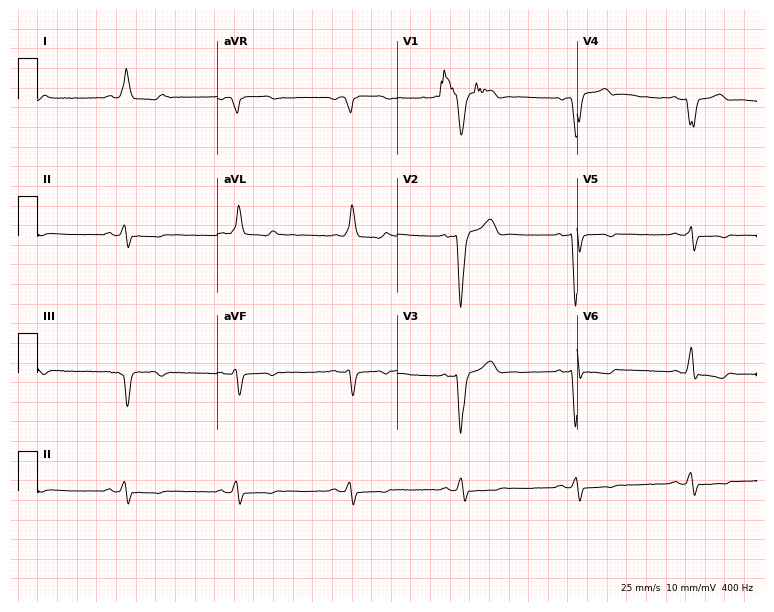
12-lead ECG (7.3-second recording at 400 Hz) from a 72-year-old man. Screened for six findings — first-degree AV block, right bundle branch block (RBBB), left bundle branch block (LBBB), sinus bradycardia, atrial fibrillation (AF), sinus tachycardia — none is recorded. Other findings, if any, are not listed.